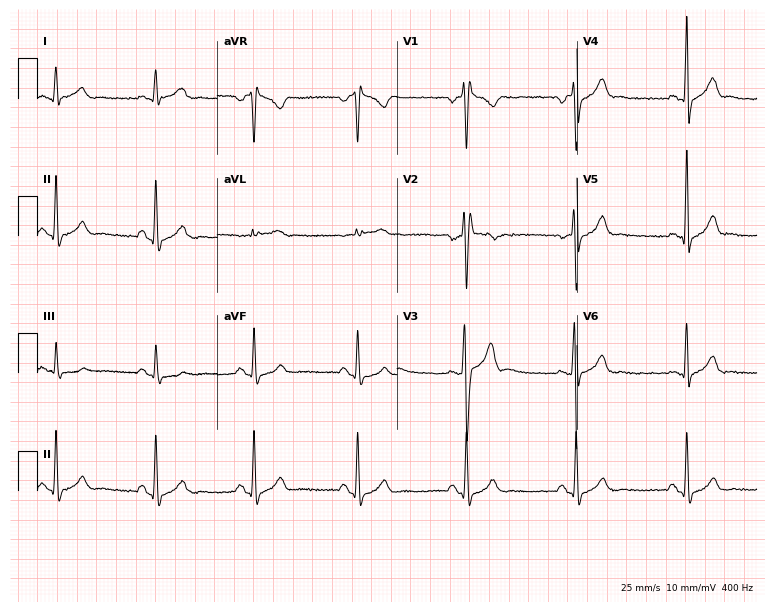
Standard 12-lead ECG recorded from a 31-year-old male patient (7.3-second recording at 400 Hz). The tracing shows right bundle branch block (RBBB).